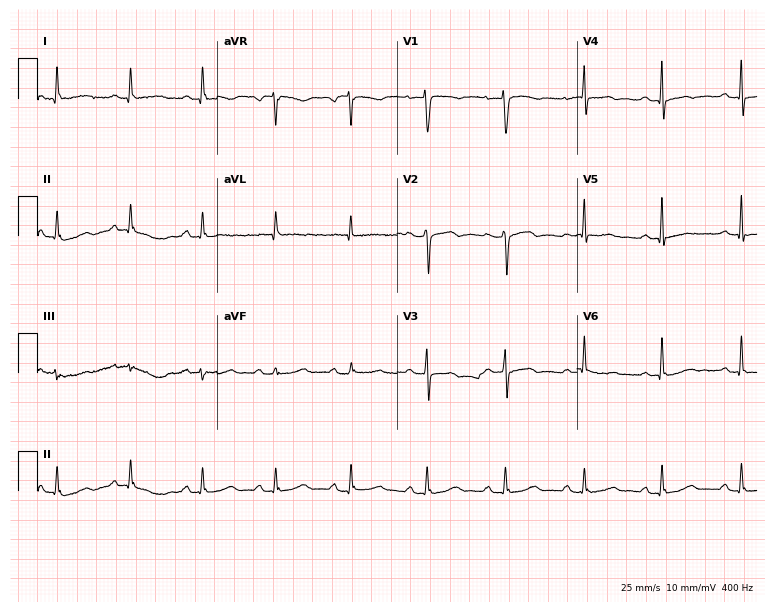
12-lead ECG (7.3-second recording at 400 Hz) from a 55-year-old female. Screened for six findings — first-degree AV block, right bundle branch block, left bundle branch block, sinus bradycardia, atrial fibrillation, sinus tachycardia — none is recorded.